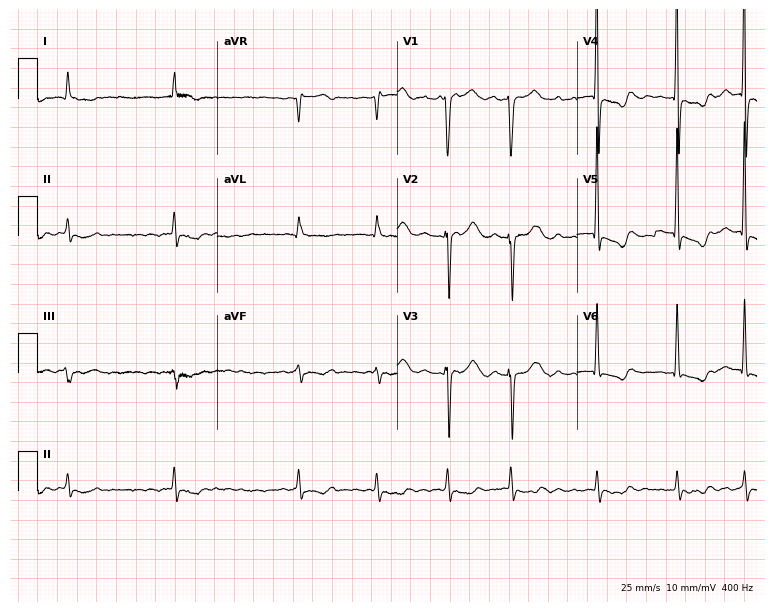
12-lead ECG from a 78-year-old man. Findings include atrial fibrillation (AF).